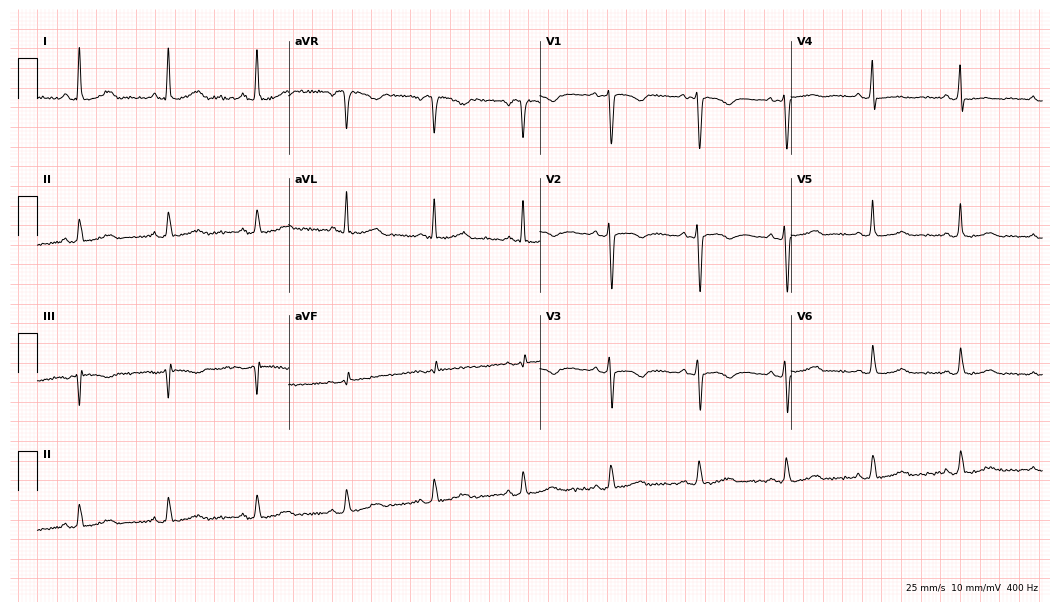
12-lead ECG (10.2-second recording at 400 Hz) from a female, 39 years old. Screened for six findings — first-degree AV block, right bundle branch block, left bundle branch block, sinus bradycardia, atrial fibrillation, sinus tachycardia — none is recorded.